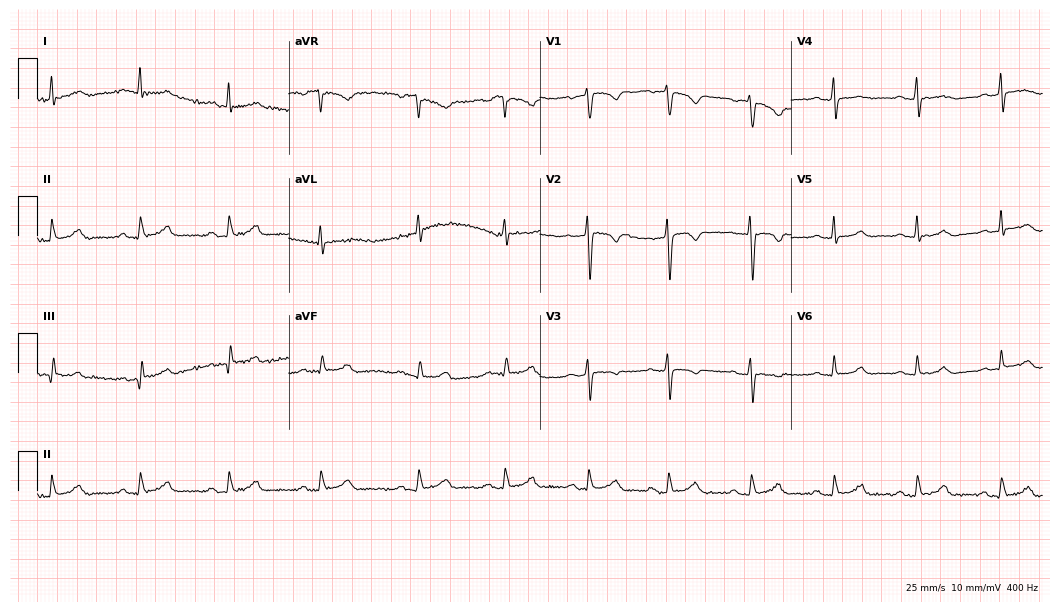
Resting 12-lead electrocardiogram (10.2-second recording at 400 Hz). Patient: a 35-year-old woman. None of these six findings is recorded: first-degree AV block, right bundle branch block, left bundle branch block, sinus bradycardia, atrial fibrillation, sinus tachycardia.